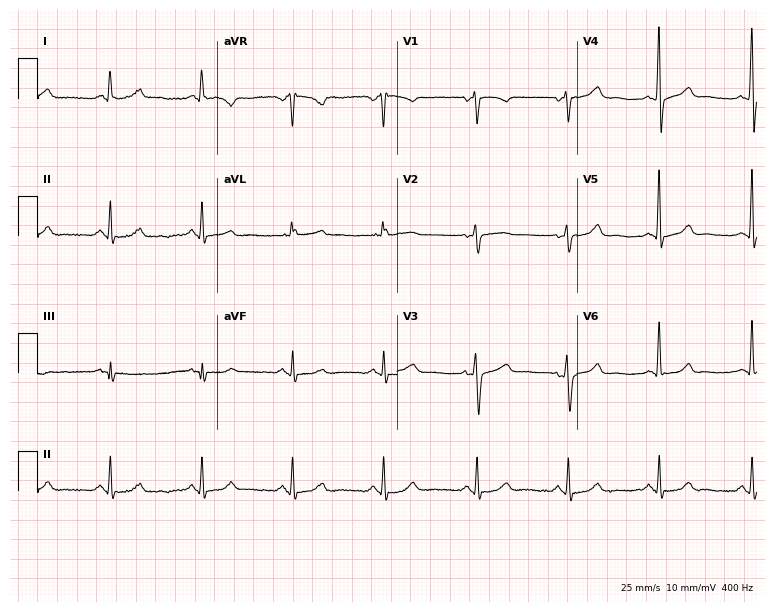
ECG — a 56-year-old female patient. Labelled as a normal ECG.